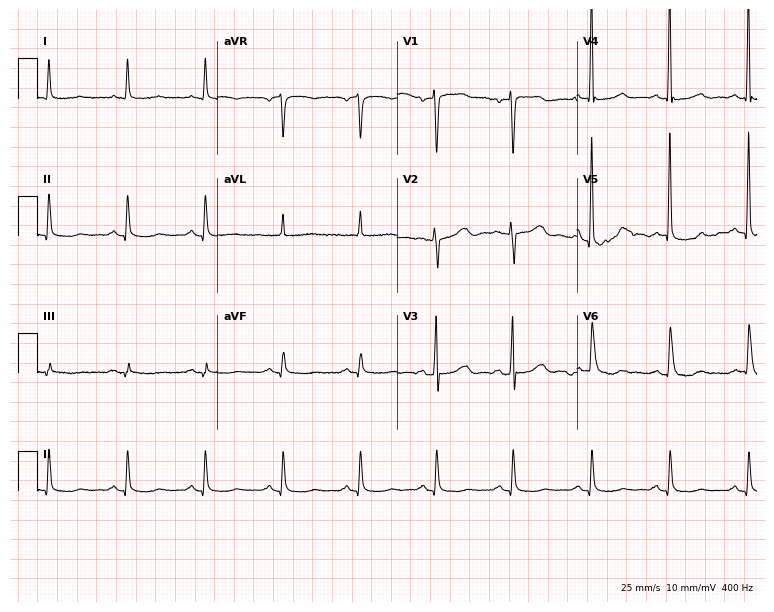
Resting 12-lead electrocardiogram. Patient: a woman, 76 years old. None of these six findings is recorded: first-degree AV block, right bundle branch block, left bundle branch block, sinus bradycardia, atrial fibrillation, sinus tachycardia. Findings outside these six are not listed.